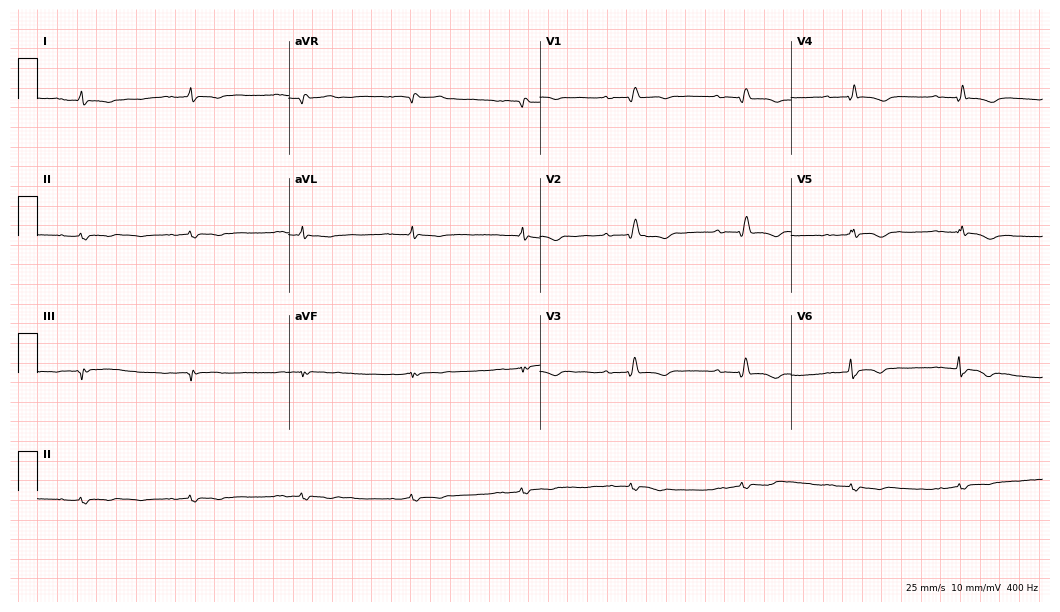
ECG — a 40-year-old female patient. Findings include first-degree AV block.